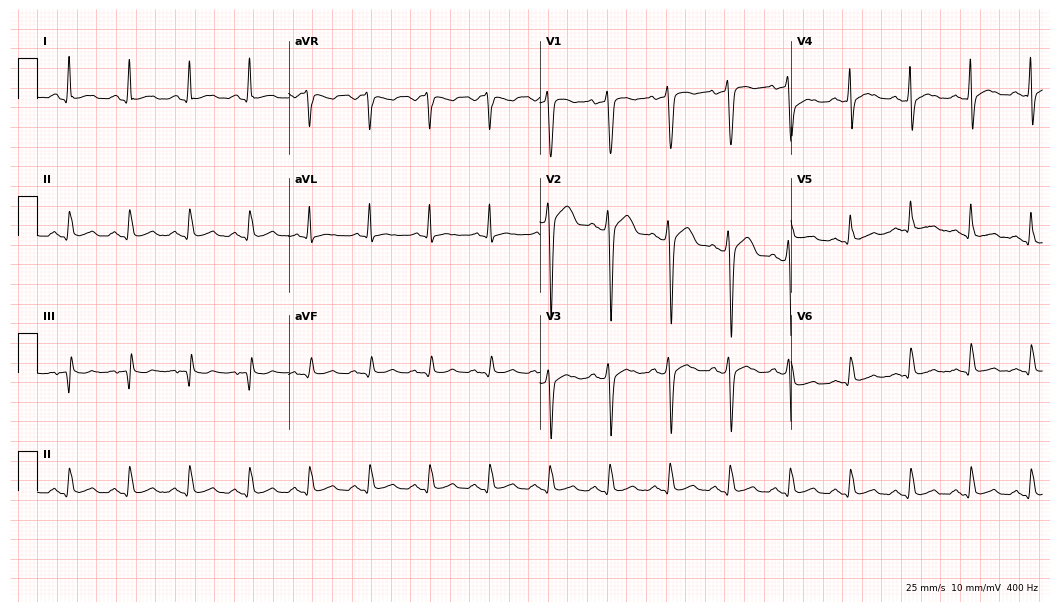
ECG (10.2-second recording at 400 Hz) — a male, 55 years old. Screened for six findings — first-degree AV block, right bundle branch block, left bundle branch block, sinus bradycardia, atrial fibrillation, sinus tachycardia — none is recorded.